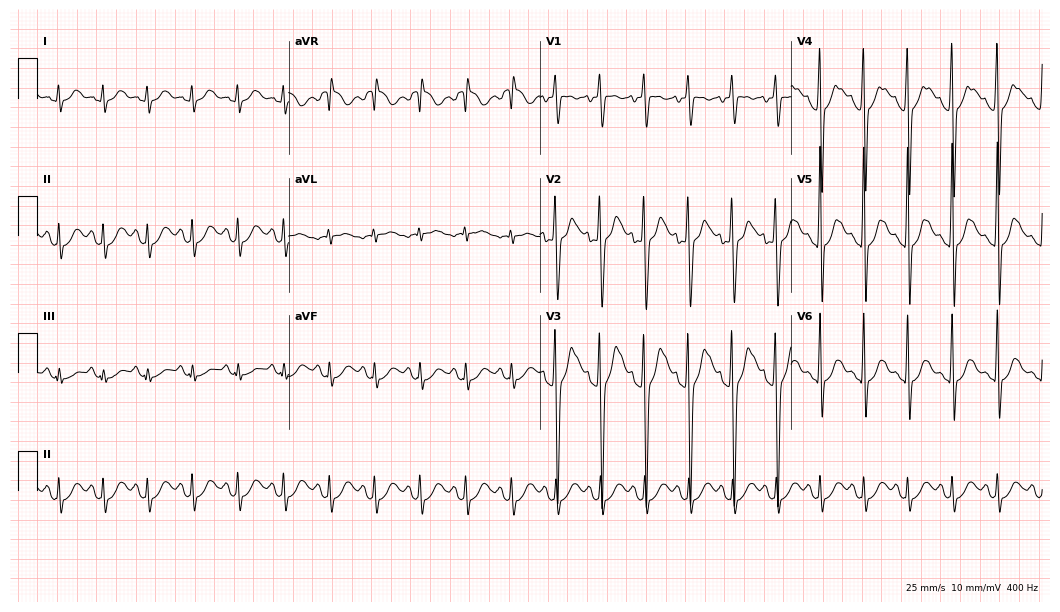
12-lead ECG (10.2-second recording at 400 Hz) from a male, 17 years old. Findings include sinus tachycardia (a sinus rate of 100 beats per minute or more).